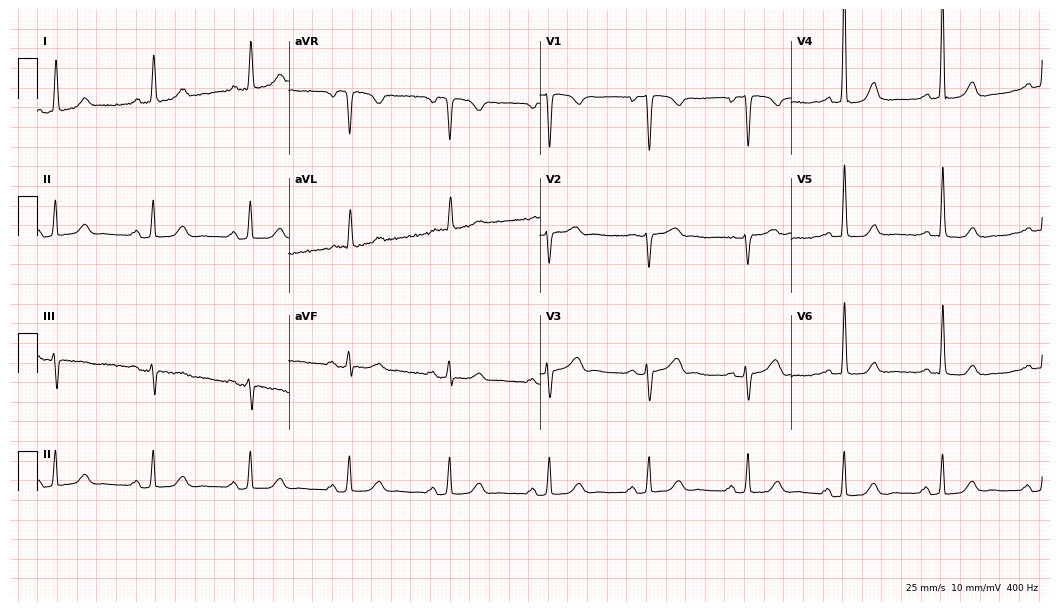
12-lead ECG from a 71-year-old woman (10.2-second recording at 400 Hz). Recorded interpretation: within normal limits.